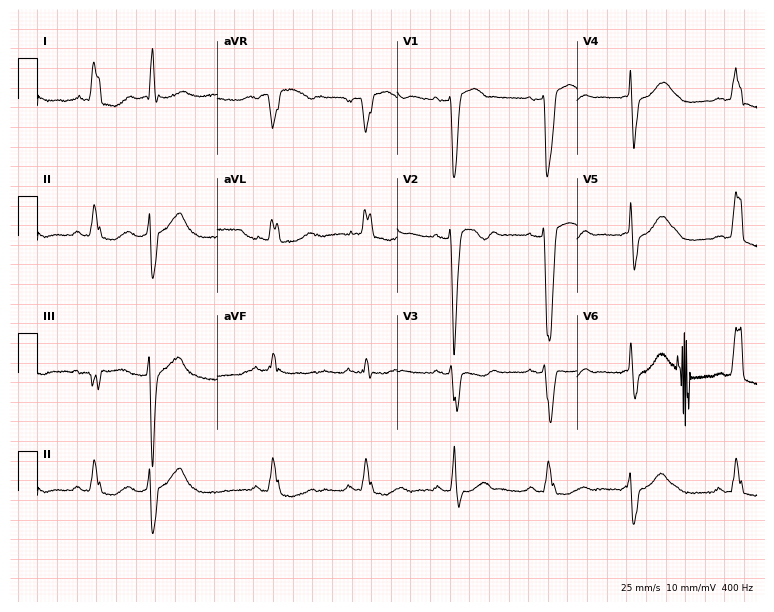
Standard 12-lead ECG recorded from an 80-year-old female patient (7.3-second recording at 400 Hz). The tracing shows left bundle branch block (LBBB).